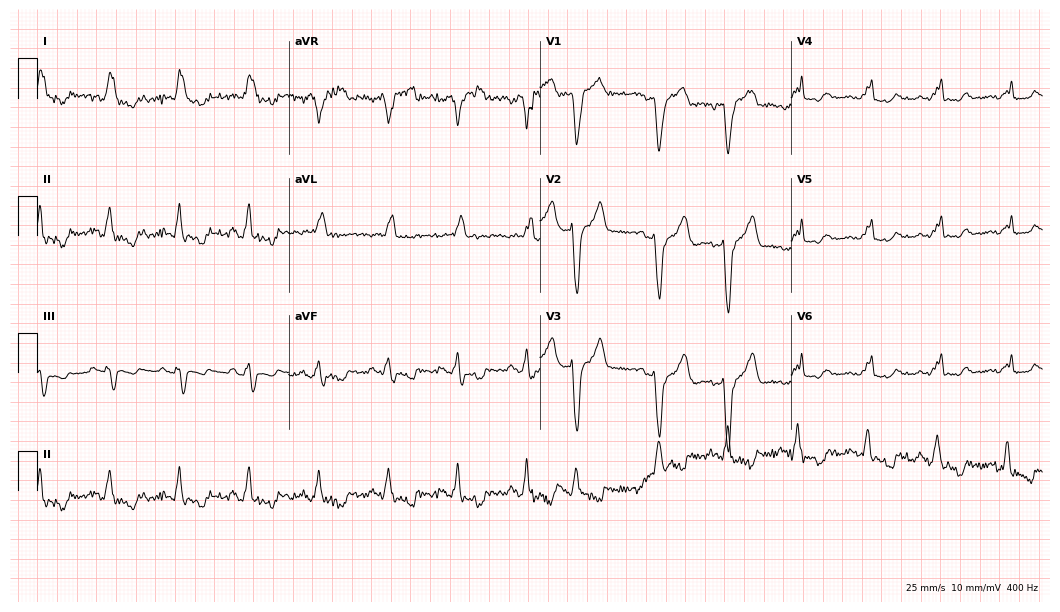
12-lead ECG from a male, 70 years old. Findings include left bundle branch block.